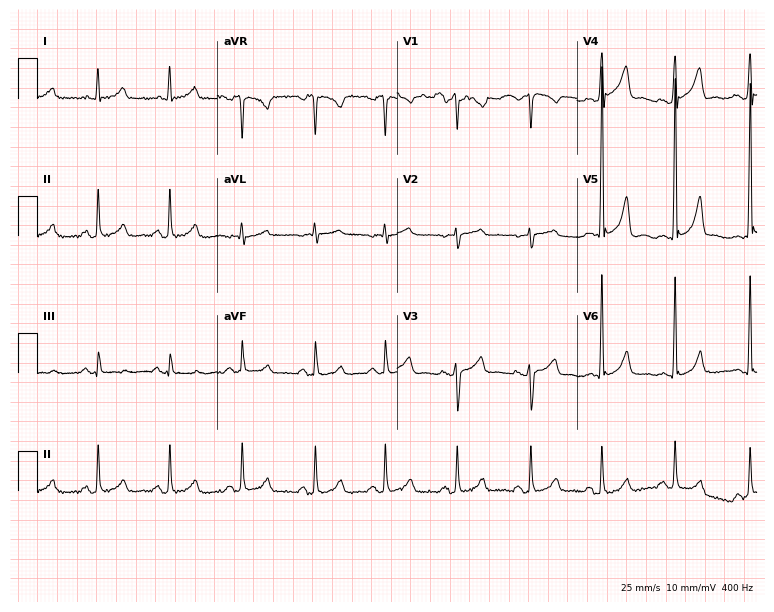
ECG (7.3-second recording at 400 Hz) — a man, 51 years old. Labelled as a normal ECG.